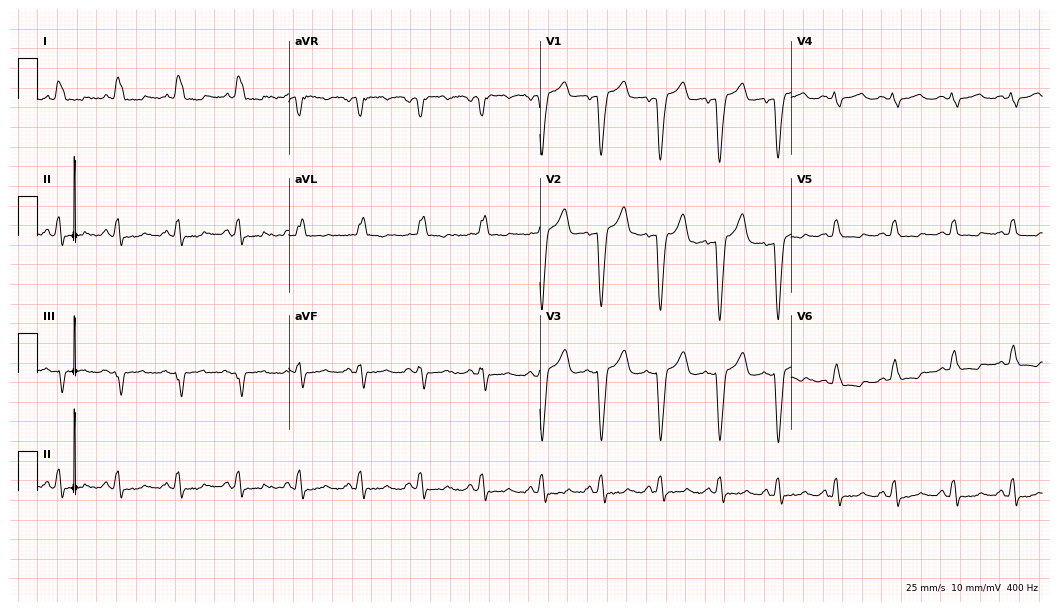
12-lead ECG from a 45-year-old female patient. No first-degree AV block, right bundle branch block, left bundle branch block, sinus bradycardia, atrial fibrillation or sinus tachycardia recorded for this tracing.